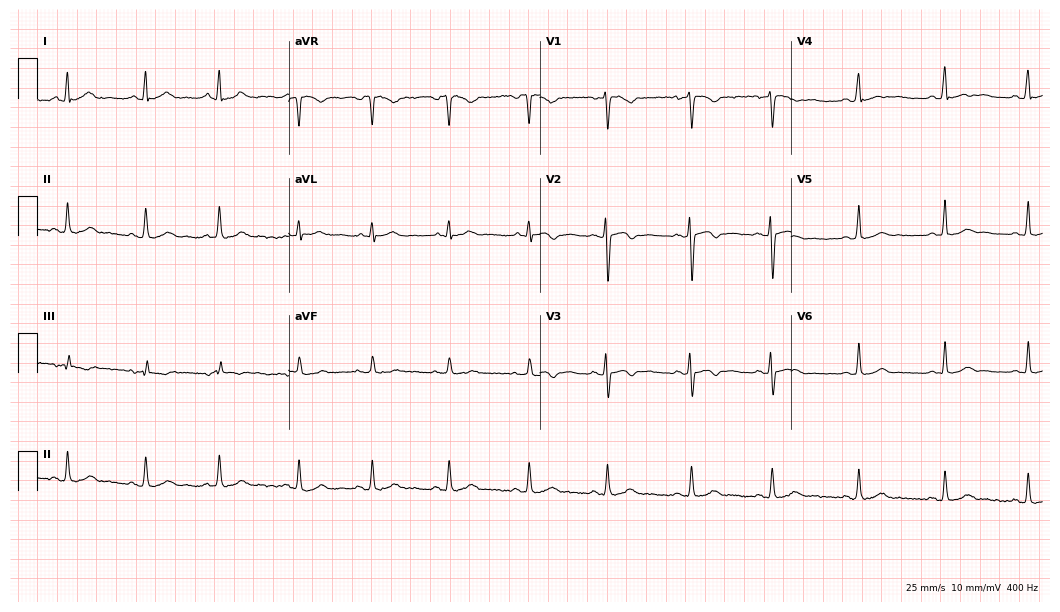
12-lead ECG from a 32-year-old female patient. No first-degree AV block, right bundle branch block, left bundle branch block, sinus bradycardia, atrial fibrillation or sinus tachycardia recorded for this tracing.